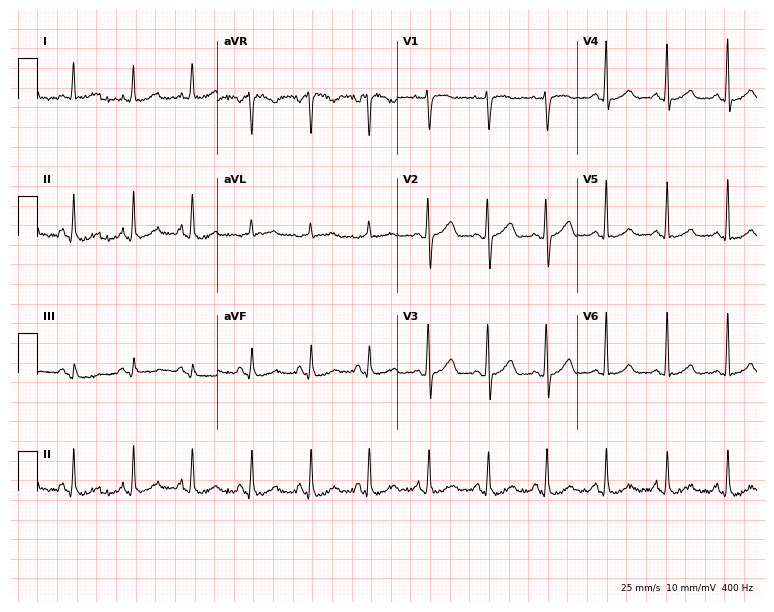
Standard 12-lead ECG recorded from a female, 54 years old. None of these six findings is recorded: first-degree AV block, right bundle branch block, left bundle branch block, sinus bradycardia, atrial fibrillation, sinus tachycardia.